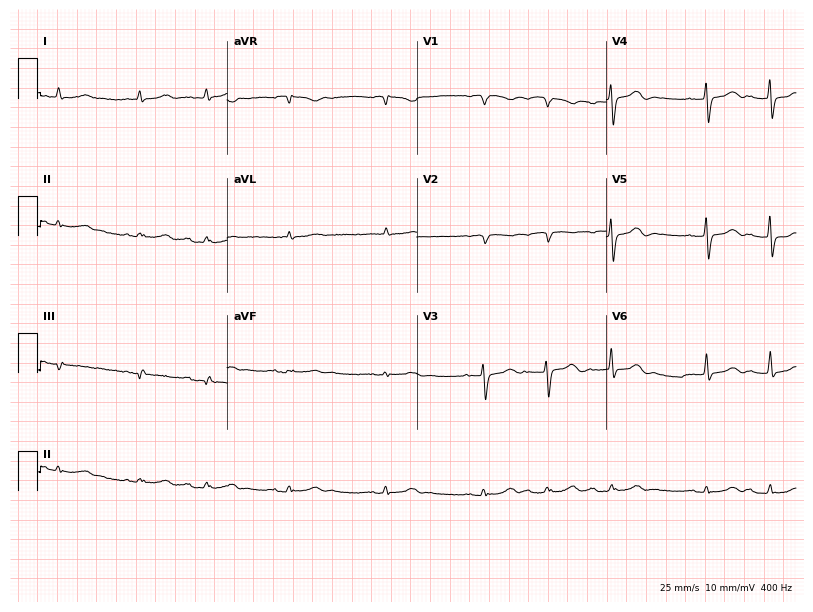
ECG — a male, 83 years old. Labelled as a normal ECG.